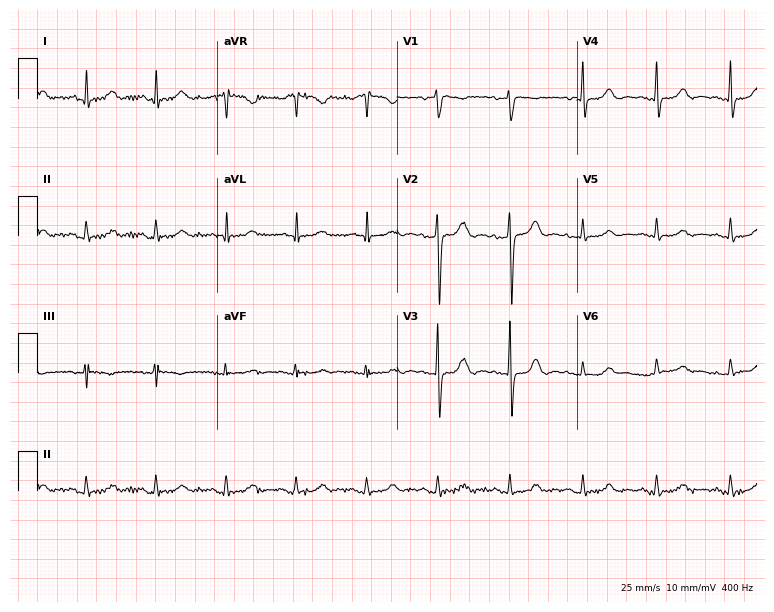
Electrocardiogram (7.3-second recording at 400 Hz), a 69-year-old woman. Overall reading on record: normal ECG.